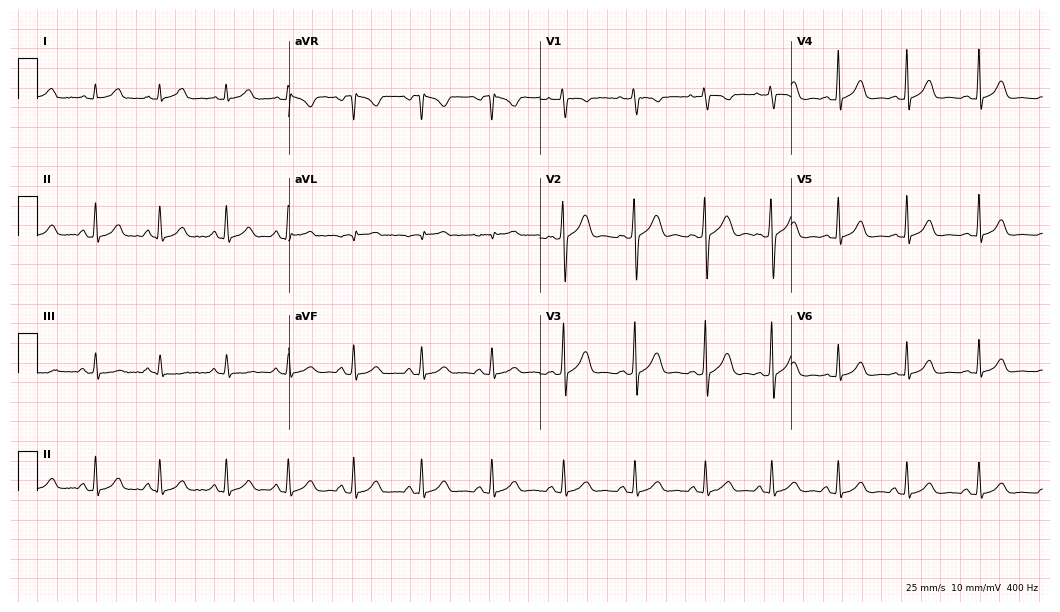
Resting 12-lead electrocardiogram. Patient: a female, 26 years old. Read as a normal ECG.